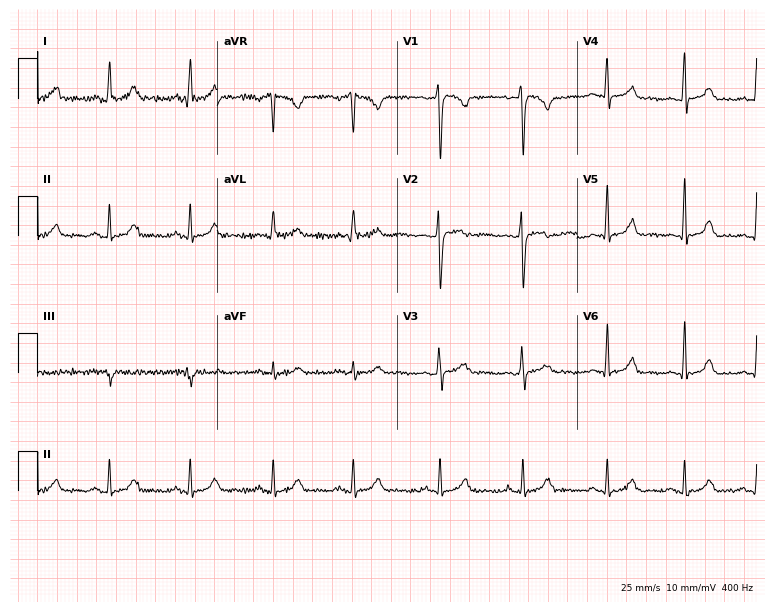
ECG — a female patient, 24 years old. Labelled as a normal ECG.